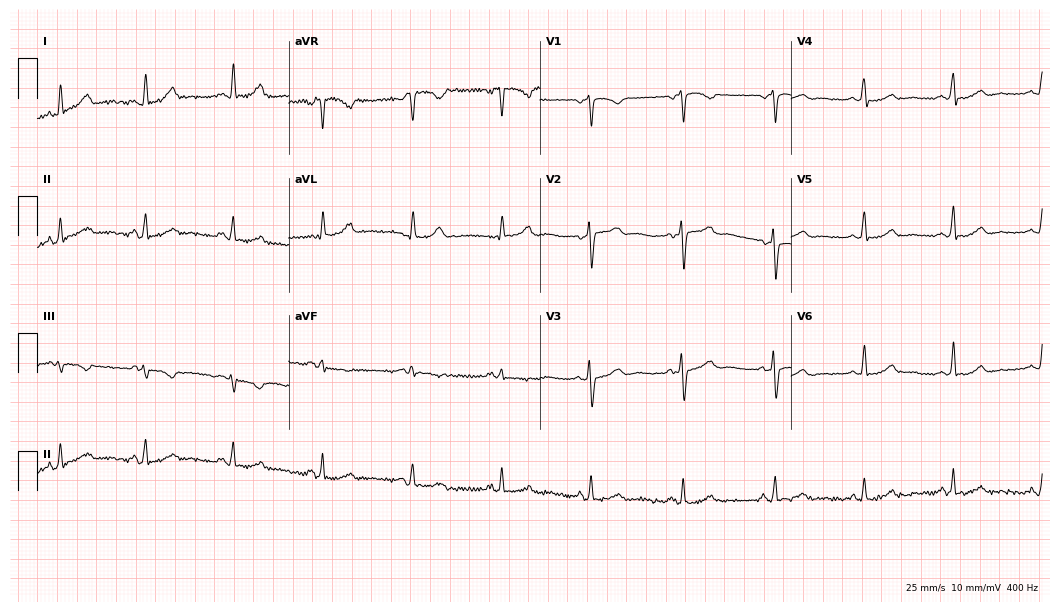
12-lead ECG (10.2-second recording at 400 Hz) from a woman, 52 years old. Screened for six findings — first-degree AV block, right bundle branch block, left bundle branch block, sinus bradycardia, atrial fibrillation, sinus tachycardia — none is recorded.